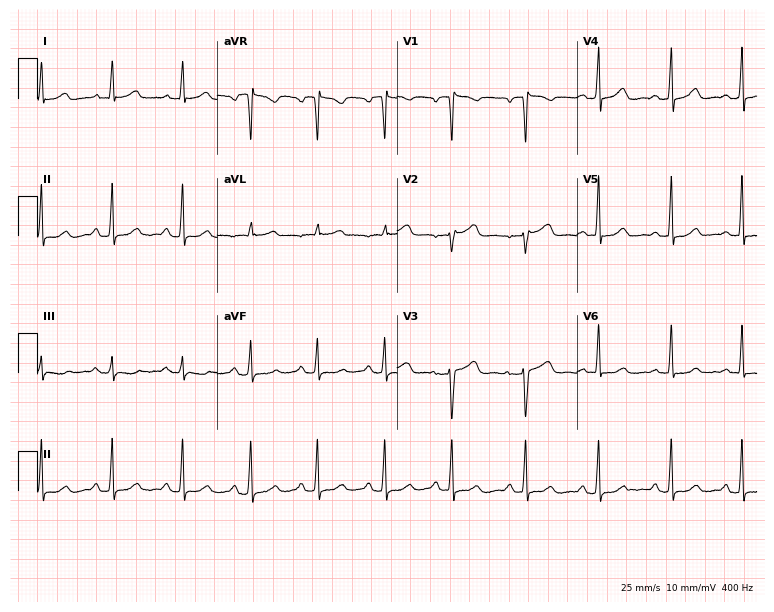
12-lead ECG from a woman, 40 years old. No first-degree AV block, right bundle branch block, left bundle branch block, sinus bradycardia, atrial fibrillation or sinus tachycardia recorded for this tracing. Findings outside these six are not listed.